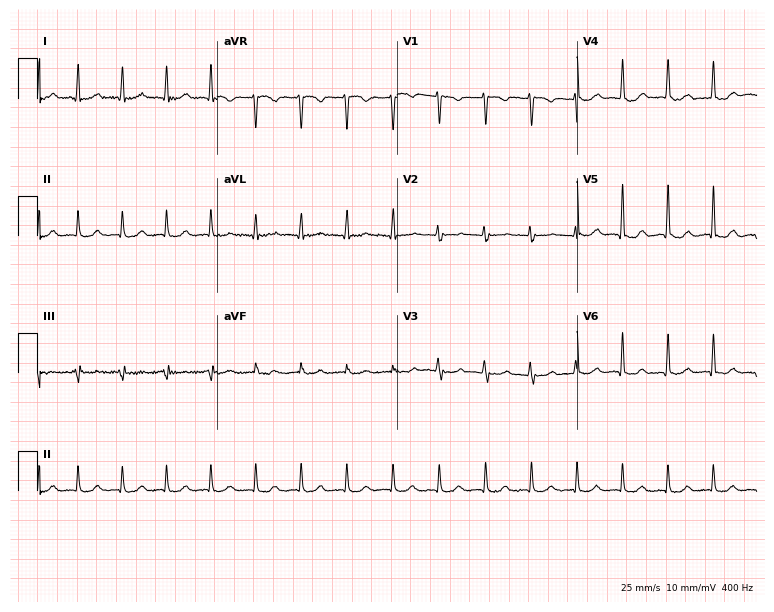
ECG — a female patient, 29 years old. Findings include sinus tachycardia (a sinus rate of 100 beats per minute or more).